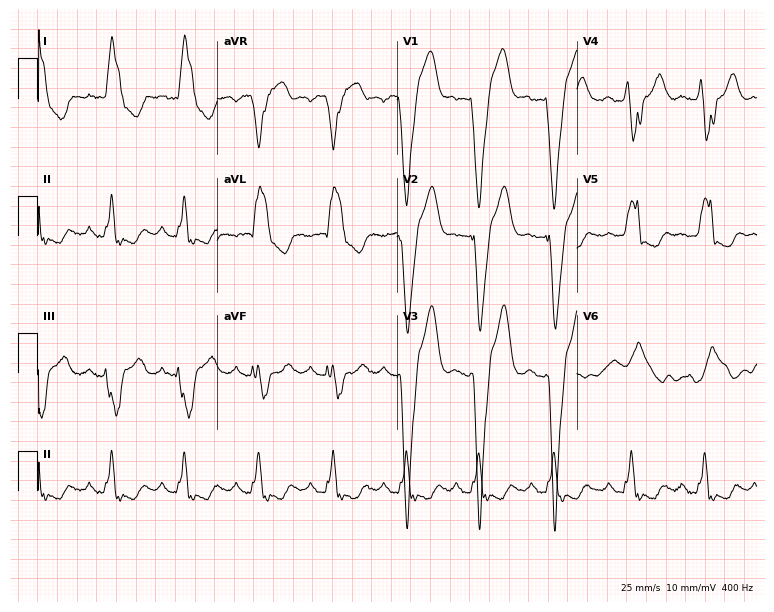
12-lead ECG (7.3-second recording at 400 Hz) from a 52-year-old female patient. Findings include left bundle branch block.